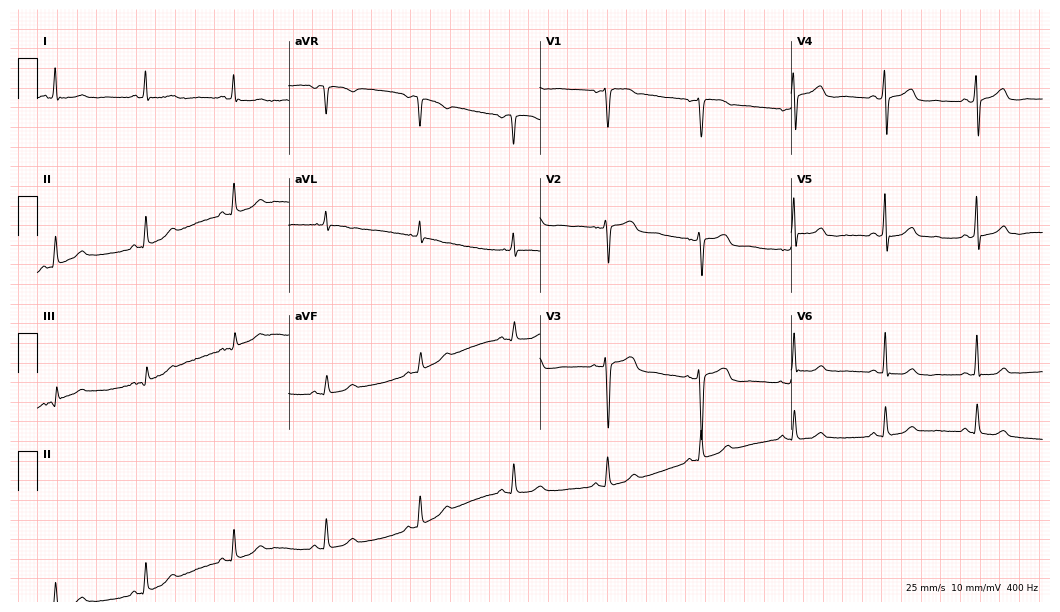
Electrocardiogram, a 65-year-old female patient. Overall reading on record: normal ECG.